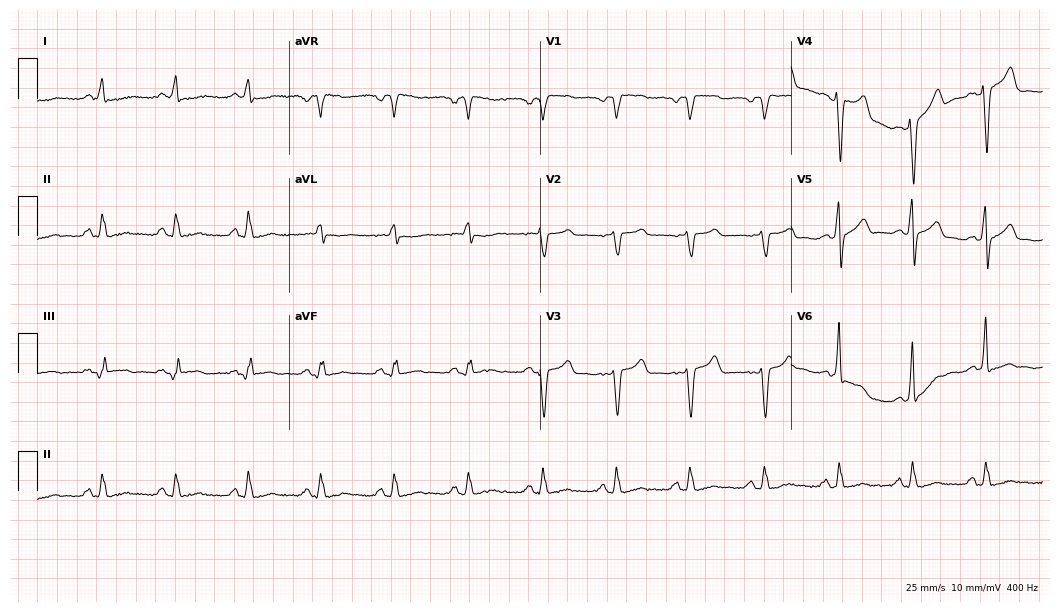
12-lead ECG from a 69-year-old female. Screened for six findings — first-degree AV block, right bundle branch block, left bundle branch block, sinus bradycardia, atrial fibrillation, sinus tachycardia — none is recorded. Other findings, if any, are not listed.